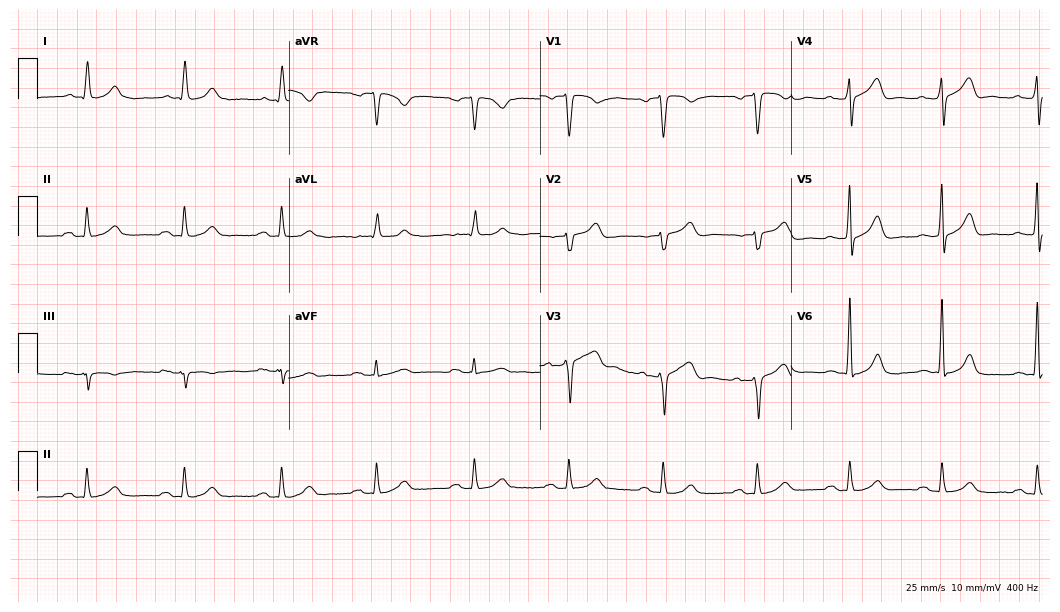
ECG — a man, 71 years old. Screened for six findings — first-degree AV block, right bundle branch block, left bundle branch block, sinus bradycardia, atrial fibrillation, sinus tachycardia — none is recorded. Only these six findings were labelled.